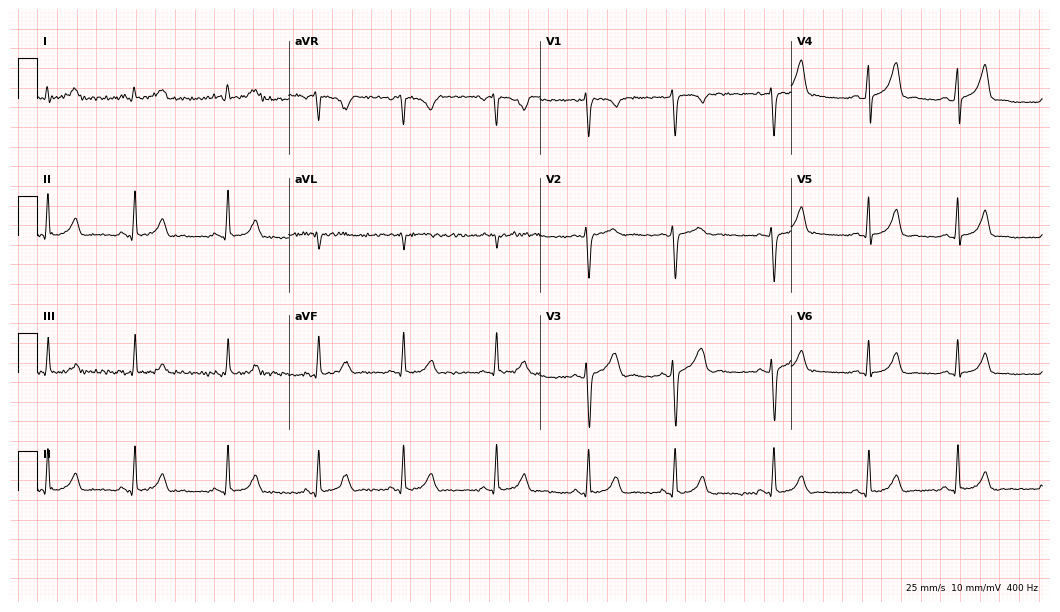
Electrocardiogram (10.2-second recording at 400 Hz), a 20-year-old woman. Of the six screened findings (first-degree AV block, right bundle branch block, left bundle branch block, sinus bradycardia, atrial fibrillation, sinus tachycardia), none is recorded.